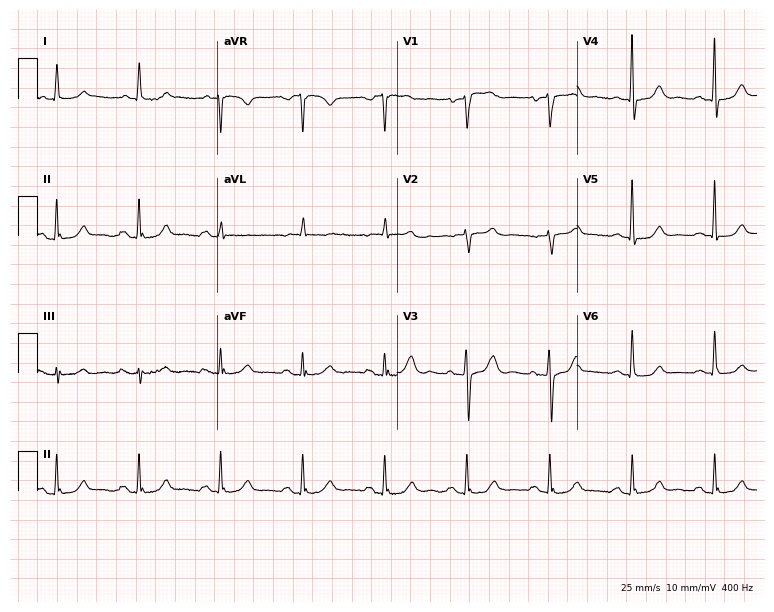
12-lead ECG from a female patient, 77 years old (7.3-second recording at 400 Hz). Recorded interpretation: within normal limits.